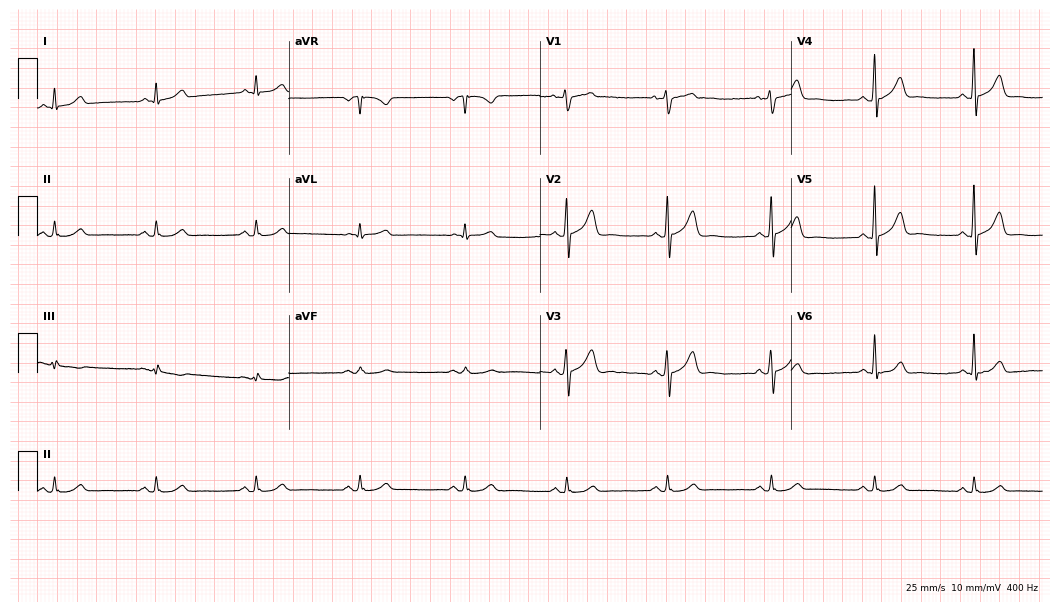
Electrocardiogram, a male, 45 years old. Overall reading on record: normal ECG.